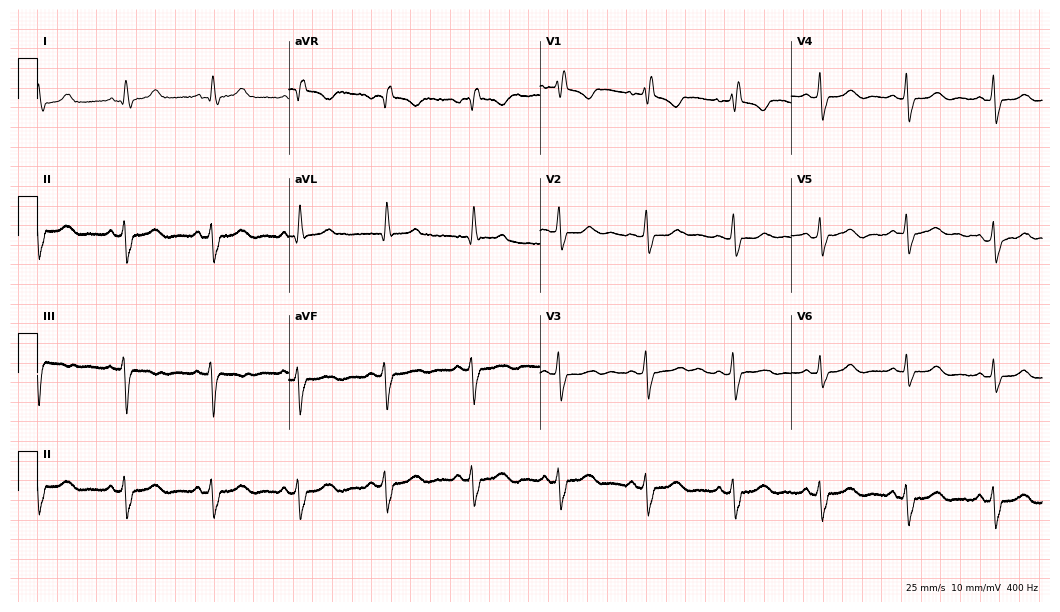
ECG — a female patient, 45 years old. Screened for six findings — first-degree AV block, right bundle branch block (RBBB), left bundle branch block (LBBB), sinus bradycardia, atrial fibrillation (AF), sinus tachycardia — none is recorded.